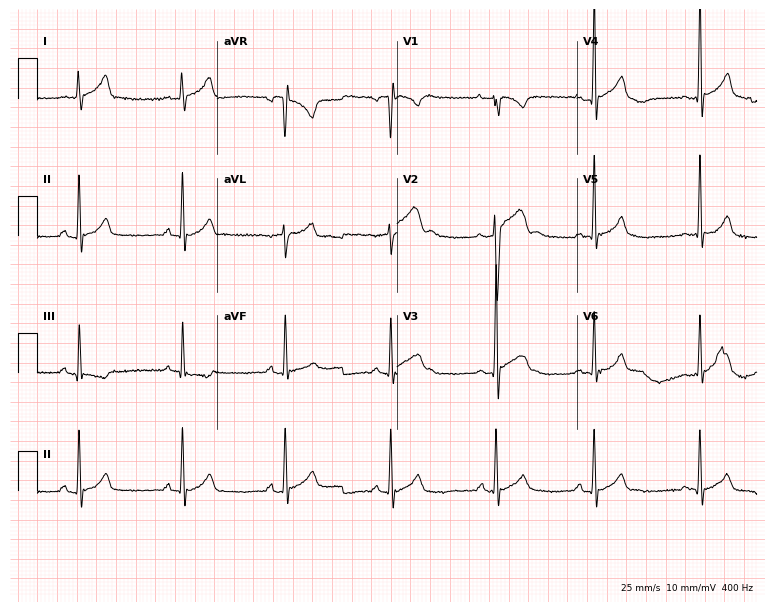
12-lead ECG from a 17-year-old male patient. No first-degree AV block, right bundle branch block, left bundle branch block, sinus bradycardia, atrial fibrillation or sinus tachycardia recorded for this tracing.